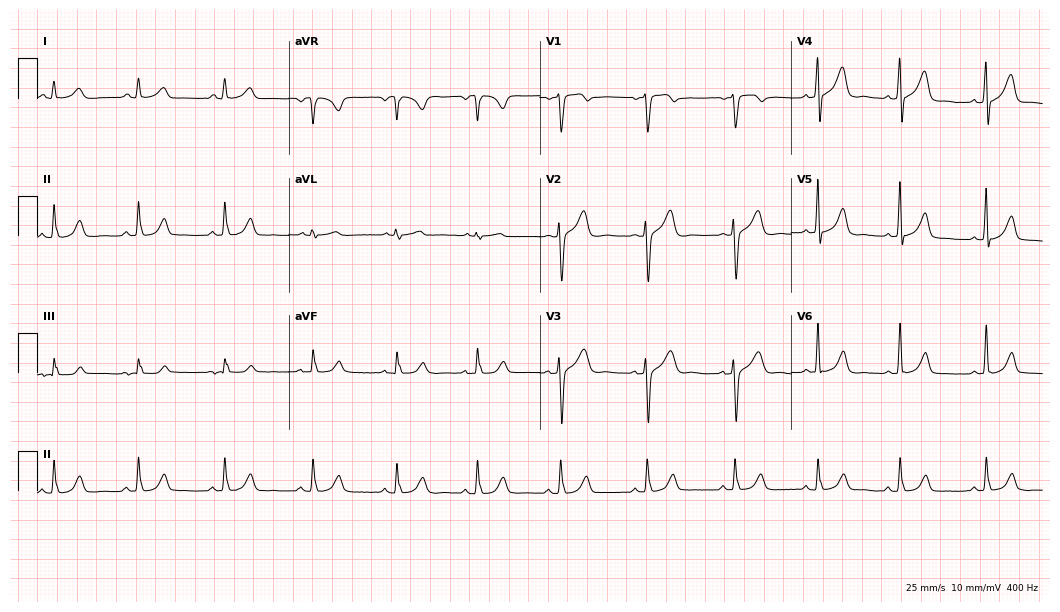
12-lead ECG from a 43-year-old man (10.2-second recording at 400 Hz). Recorded interpretation: within normal limits.